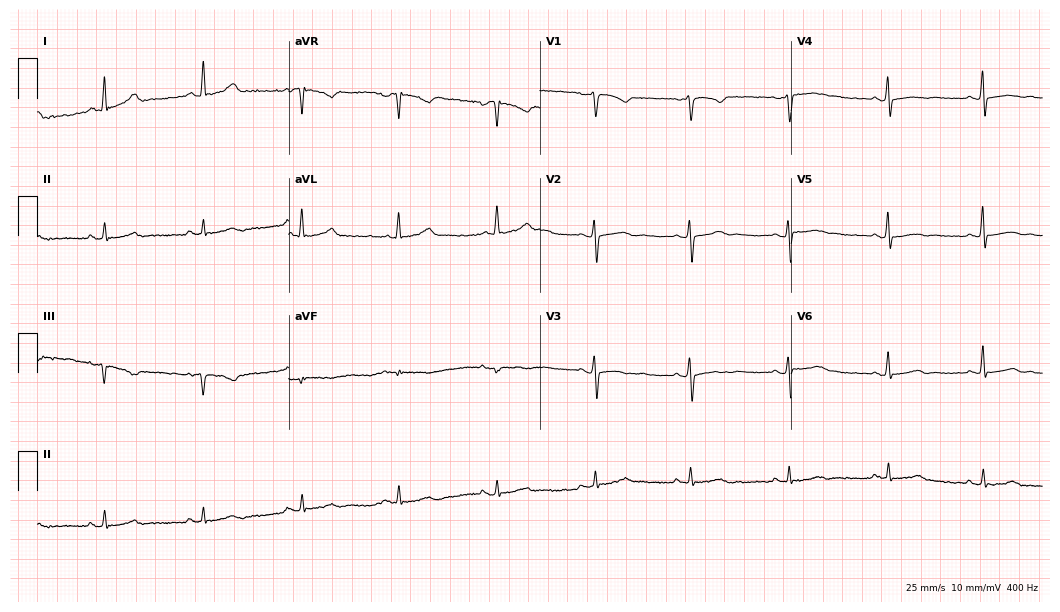
Electrocardiogram, a 47-year-old female patient. Overall reading on record: normal ECG.